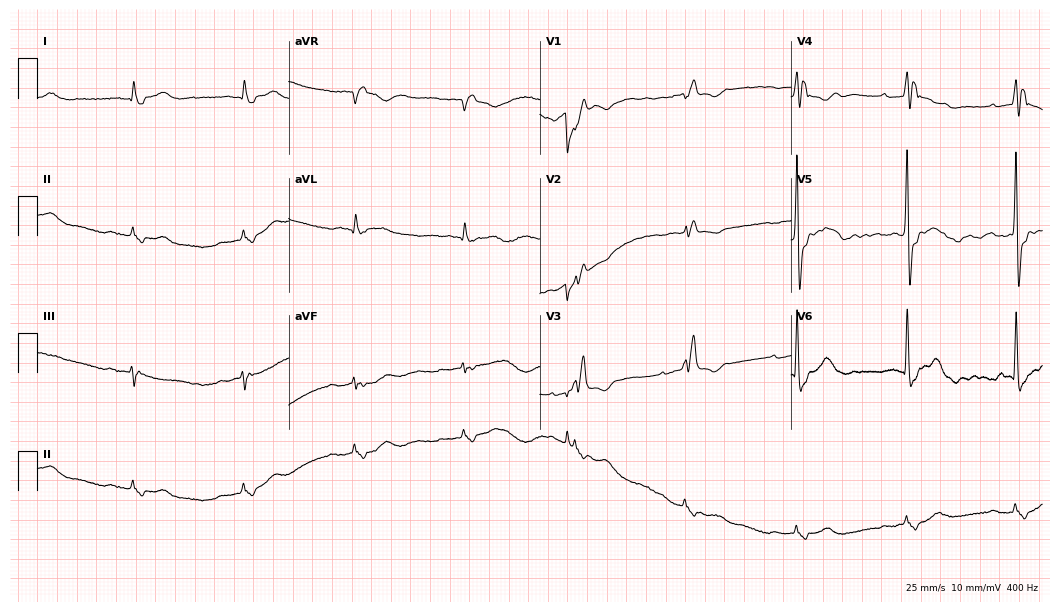
12-lead ECG from a male patient, 84 years old (10.2-second recording at 400 Hz). Shows right bundle branch block.